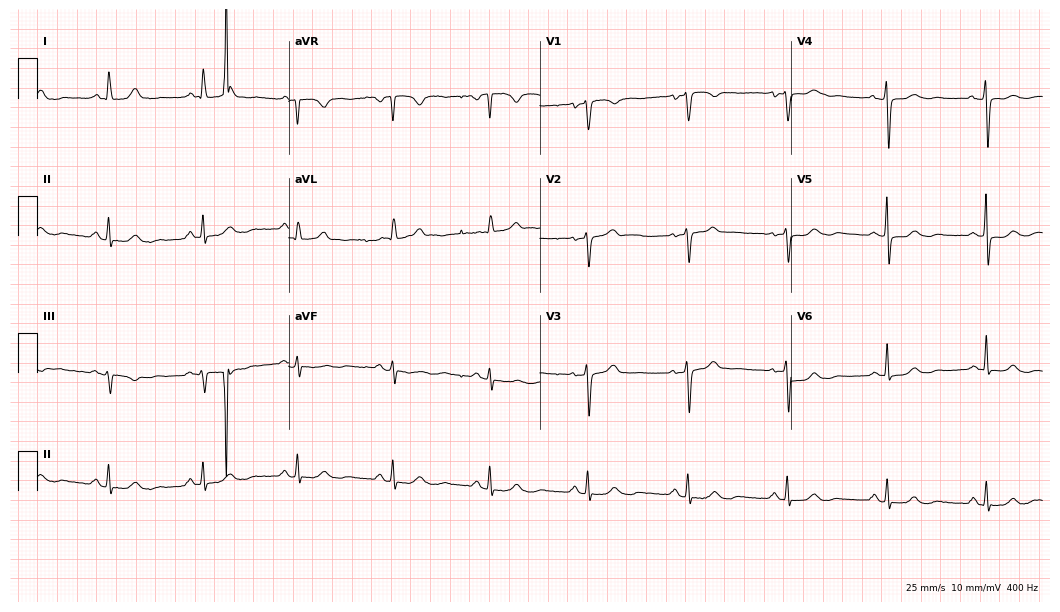
ECG (10.2-second recording at 400 Hz) — a 58-year-old female. Labelled as a normal ECG.